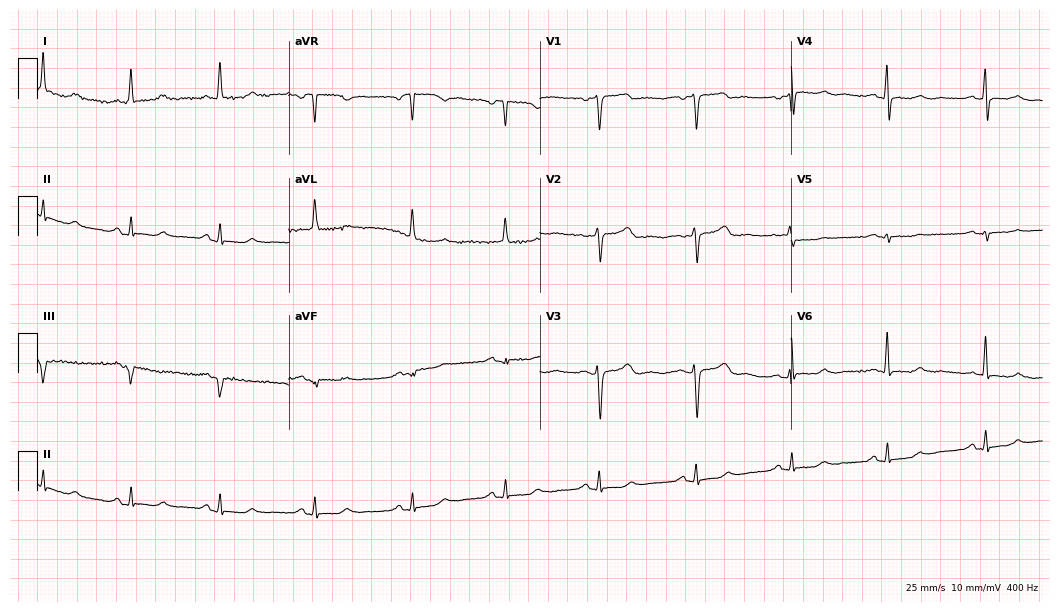
Standard 12-lead ECG recorded from a female, 77 years old (10.2-second recording at 400 Hz). Read as a normal ECG.